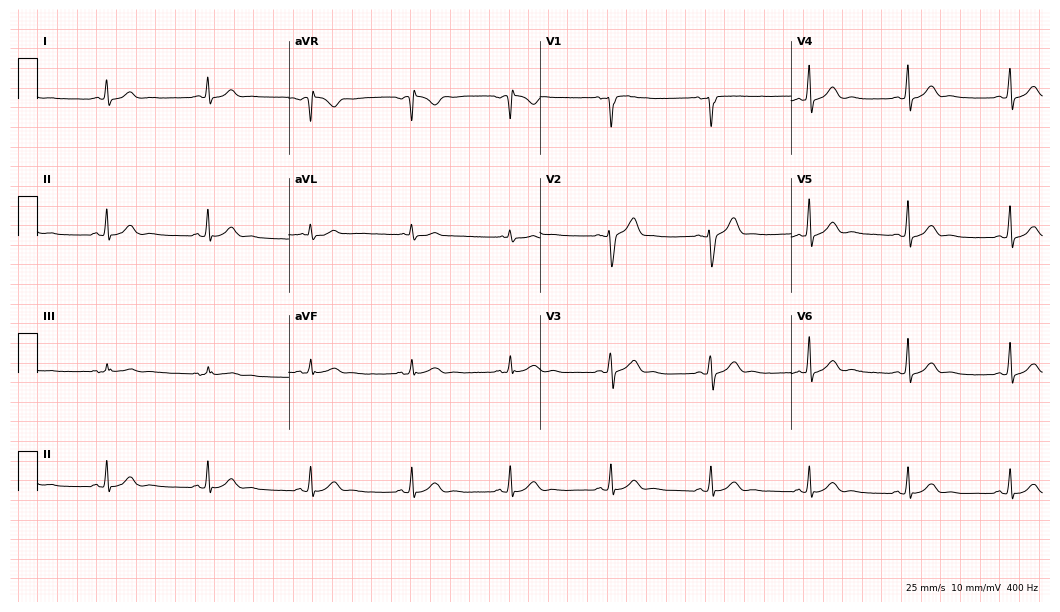
Electrocardiogram (10.2-second recording at 400 Hz), a 41-year-old man. Of the six screened findings (first-degree AV block, right bundle branch block (RBBB), left bundle branch block (LBBB), sinus bradycardia, atrial fibrillation (AF), sinus tachycardia), none is recorded. Findings outside these six are not listed.